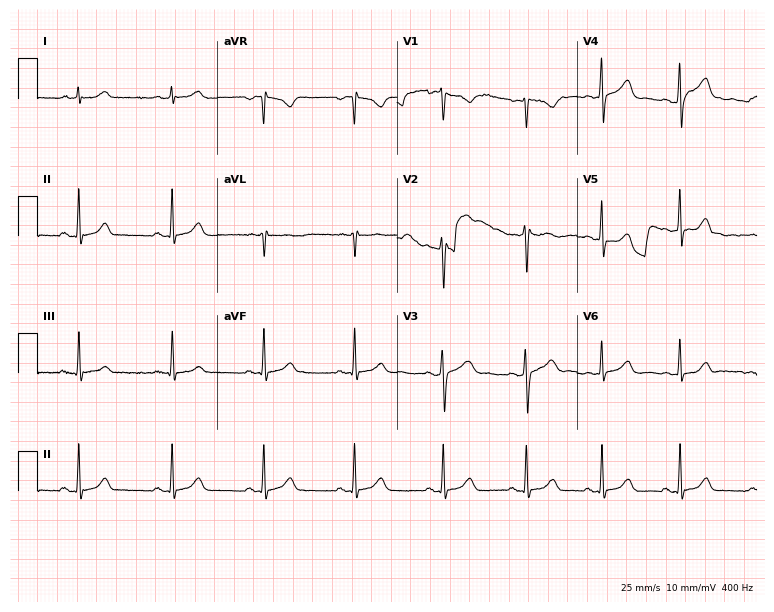
12-lead ECG from a female, 18 years old. Recorded interpretation: within normal limits.